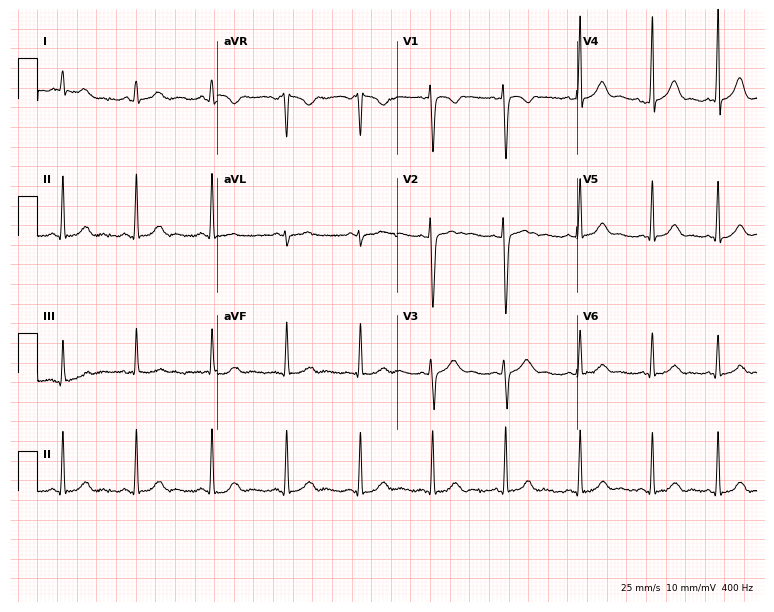
12-lead ECG from a woman, 43 years old (7.3-second recording at 400 Hz). No first-degree AV block, right bundle branch block, left bundle branch block, sinus bradycardia, atrial fibrillation or sinus tachycardia recorded for this tracing.